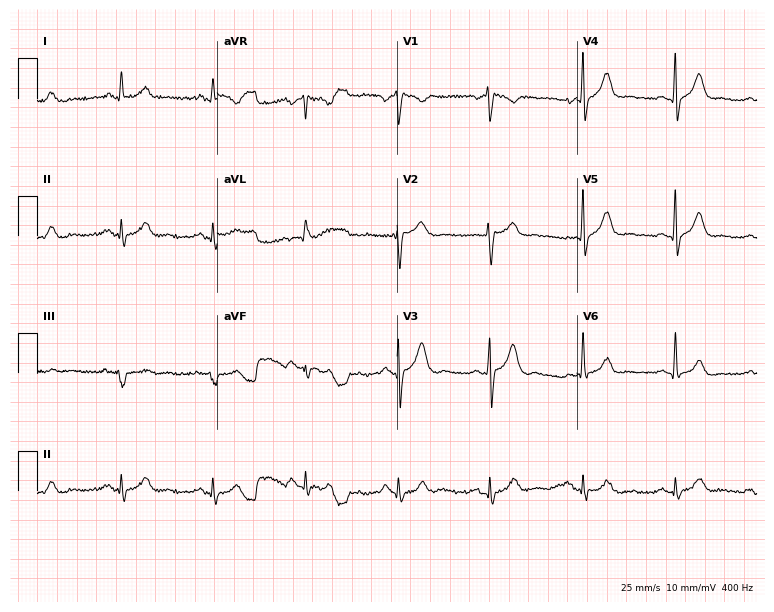
12-lead ECG from a male, 49 years old (7.3-second recording at 400 Hz). No first-degree AV block, right bundle branch block (RBBB), left bundle branch block (LBBB), sinus bradycardia, atrial fibrillation (AF) or sinus tachycardia recorded for this tracing.